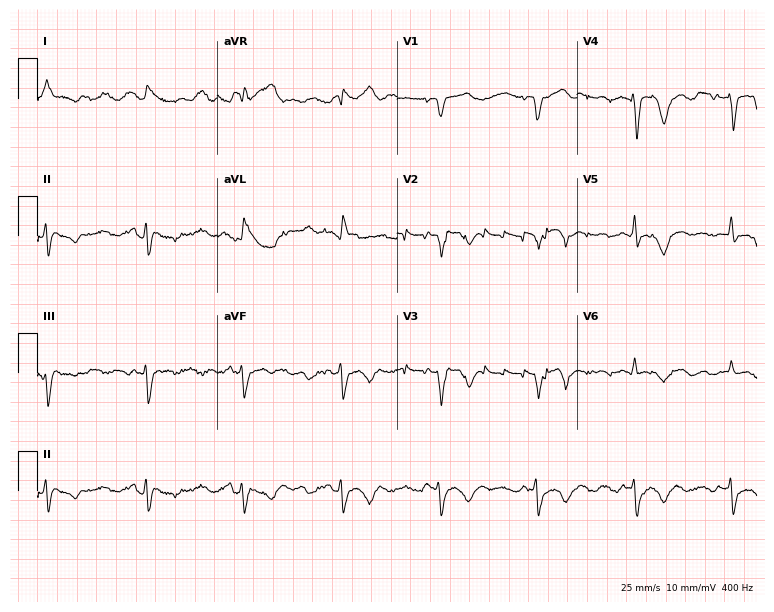
ECG — a man, 73 years old. Screened for six findings — first-degree AV block, right bundle branch block, left bundle branch block, sinus bradycardia, atrial fibrillation, sinus tachycardia — none is recorded.